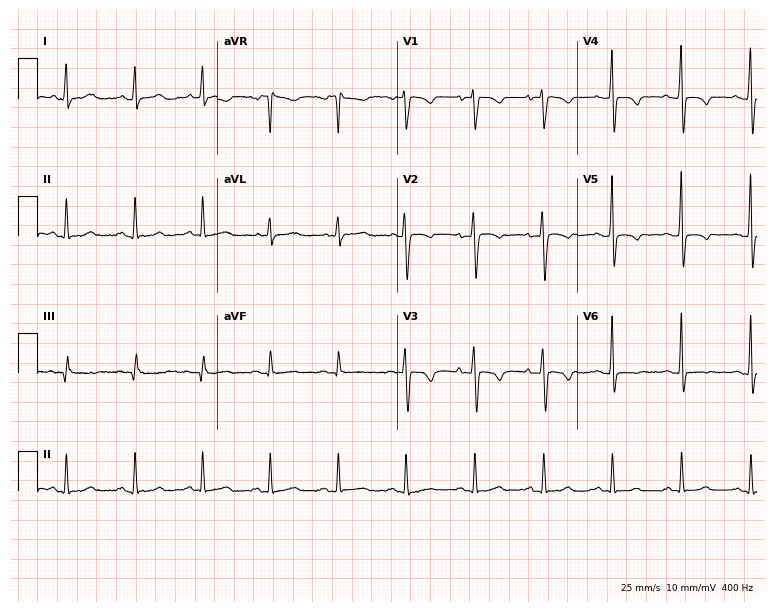
Electrocardiogram, a female patient, 27 years old. Of the six screened findings (first-degree AV block, right bundle branch block (RBBB), left bundle branch block (LBBB), sinus bradycardia, atrial fibrillation (AF), sinus tachycardia), none is recorded. Only these six findings were labelled.